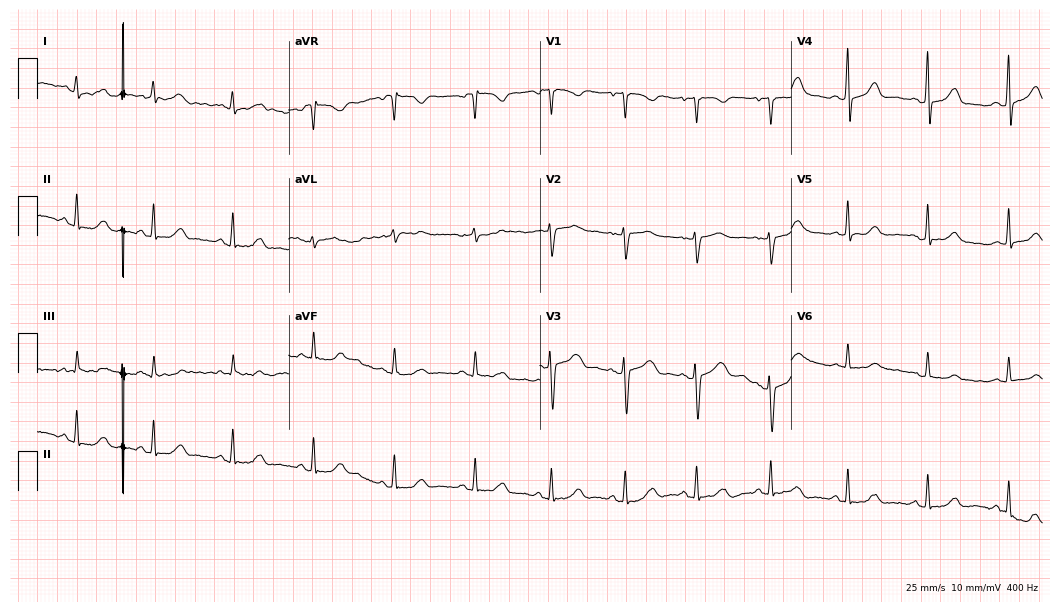
ECG — a woman, 33 years old. Labelled as a normal ECG.